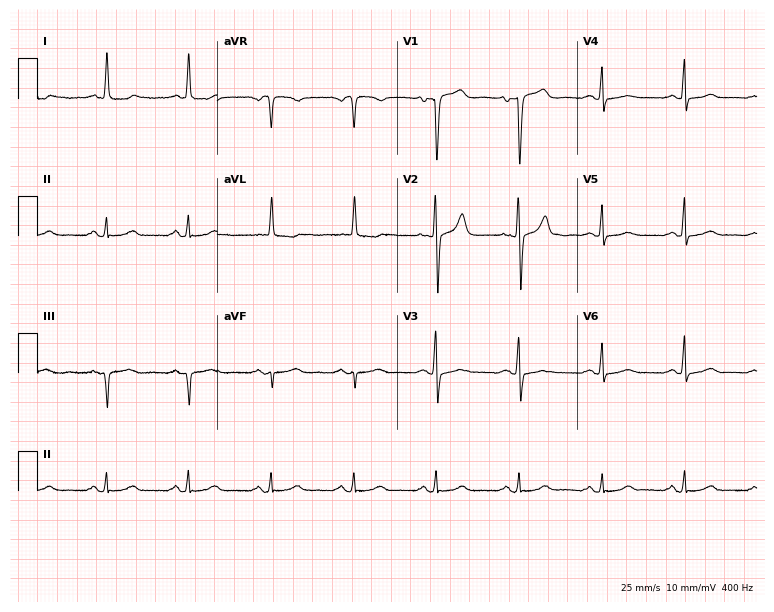
12-lead ECG (7.3-second recording at 400 Hz) from a female patient, 79 years old. Labelled as a normal ECG.